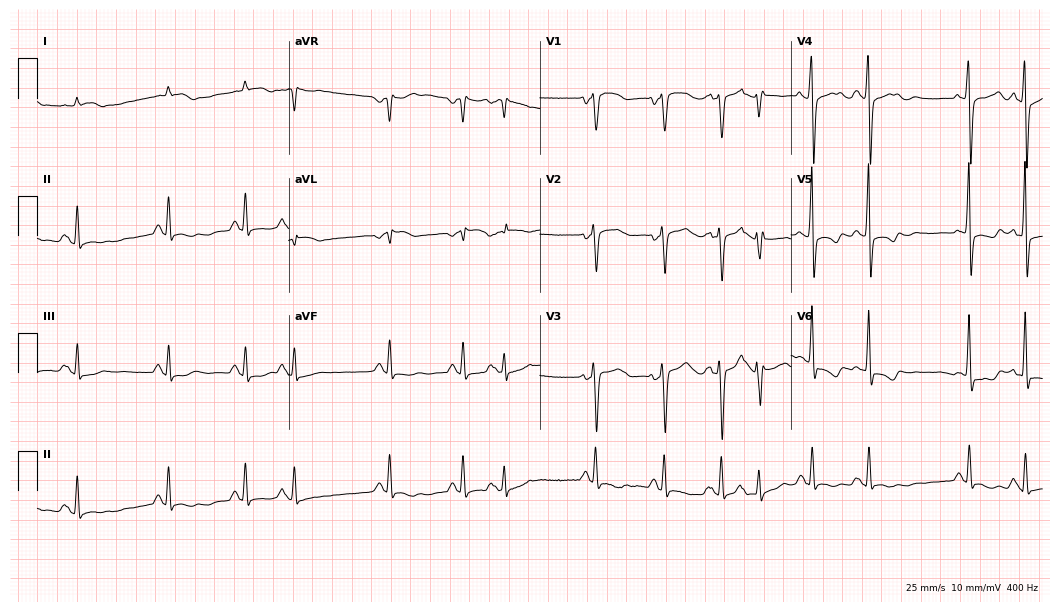
Electrocardiogram (10.2-second recording at 400 Hz), a male patient, 73 years old. Of the six screened findings (first-degree AV block, right bundle branch block, left bundle branch block, sinus bradycardia, atrial fibrillation, sinus tachycardia), none is recorded. Findings outside these six are not listed.